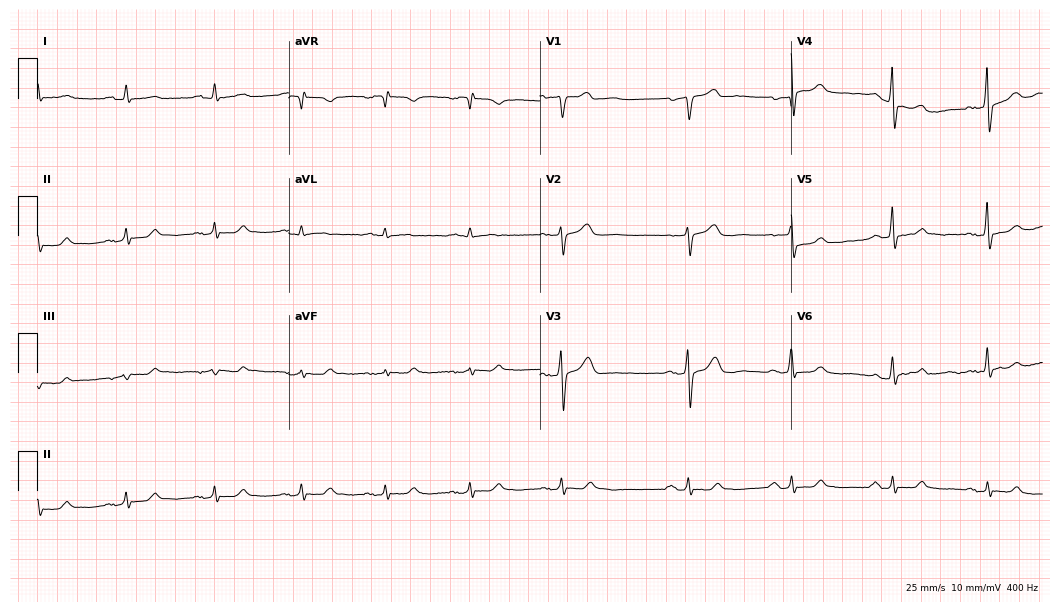
Resting 12-lead electrocardiogram. Patient: a 71-year-old man. Read as a normal ECG.